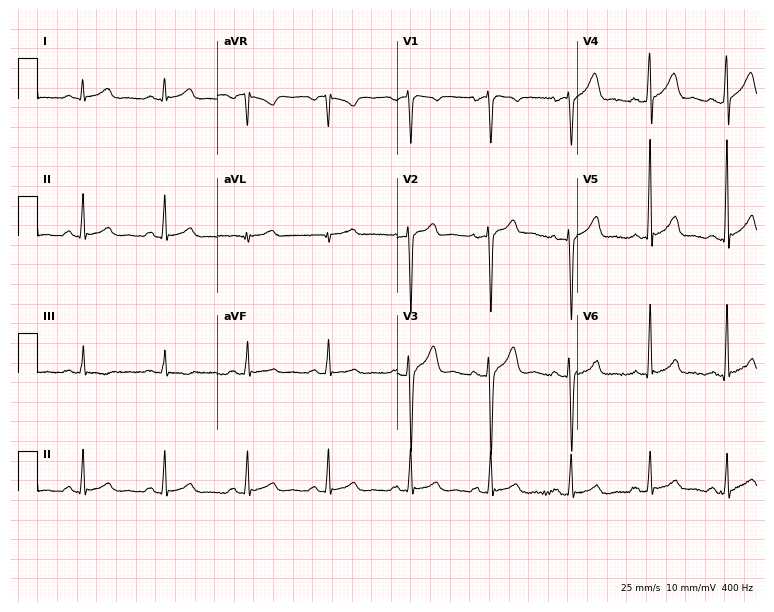
Electrocardiogram (7.3-second recording at 400 Hz), a 33-year-old male patient. Of the six screened findings (first-degree AV block, right bundle branch block (RBBB), left bundle branch block (LBBB), sinus bradycardia, atrial fibrillation (AF), sinus tachycardia), none is recorded.